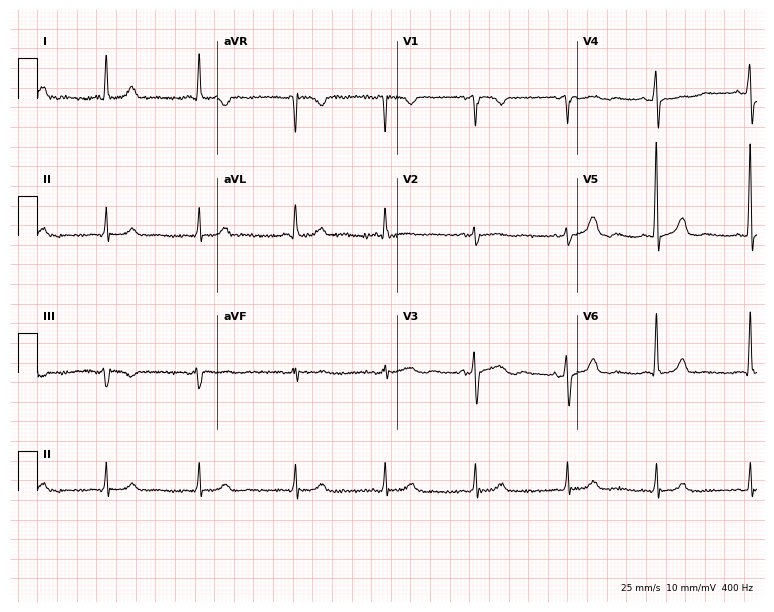
ECG — a 68-year-old female patient. Screened for six findings — first-degree AV block, right bundle branch block (RBBB), left bundle branch block (LBBB), sinus bradycardia, atrial fibrillation (AF), sinus tachycardia — none is recorded. Only these six findings were labelled.